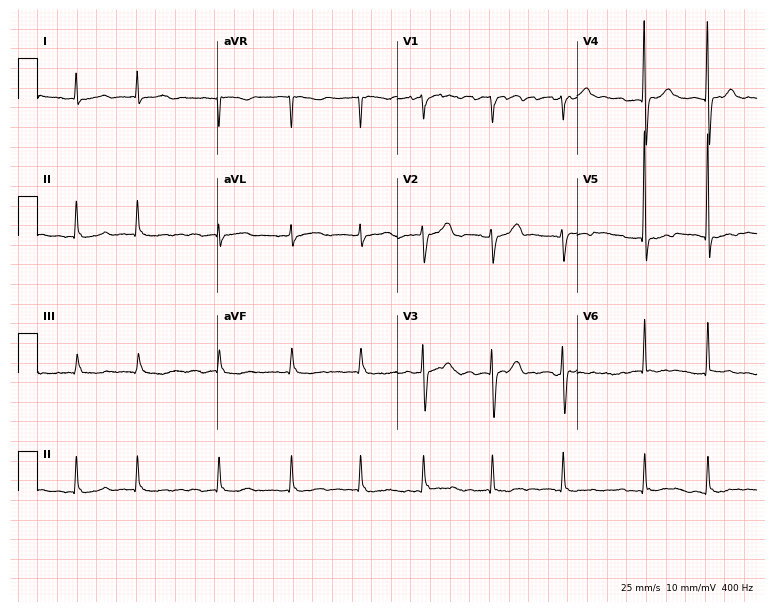
Standard 12-lead ECG recorded from a 71-year-old female patient (7.3-second recording at 400 Hz). The tracing shows atrial fibrillation.